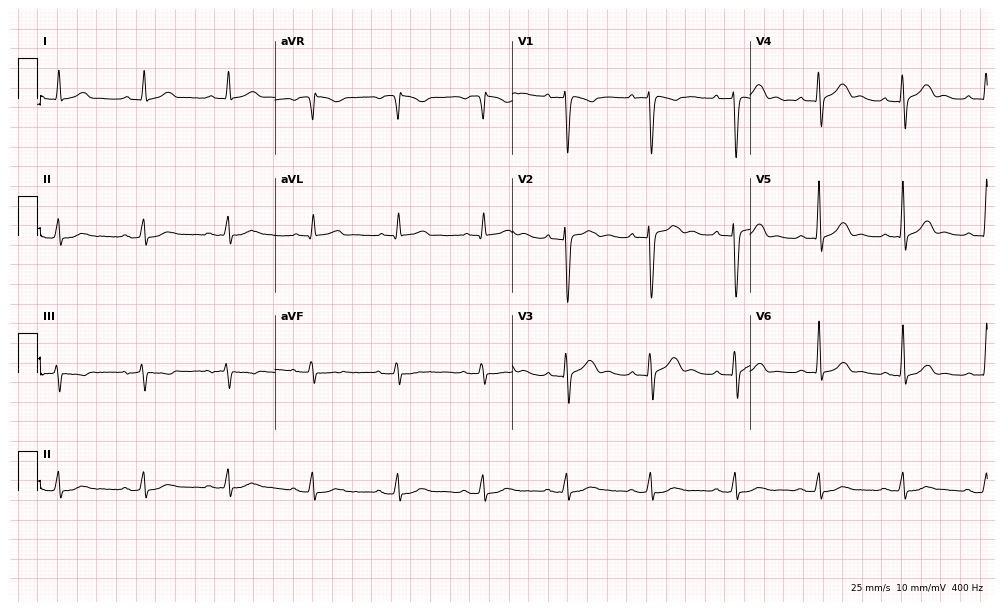
12-lead ECG (9.7-second recording at 400 Hz) from a 78-year-old woman. Labelled as a normal ECG.